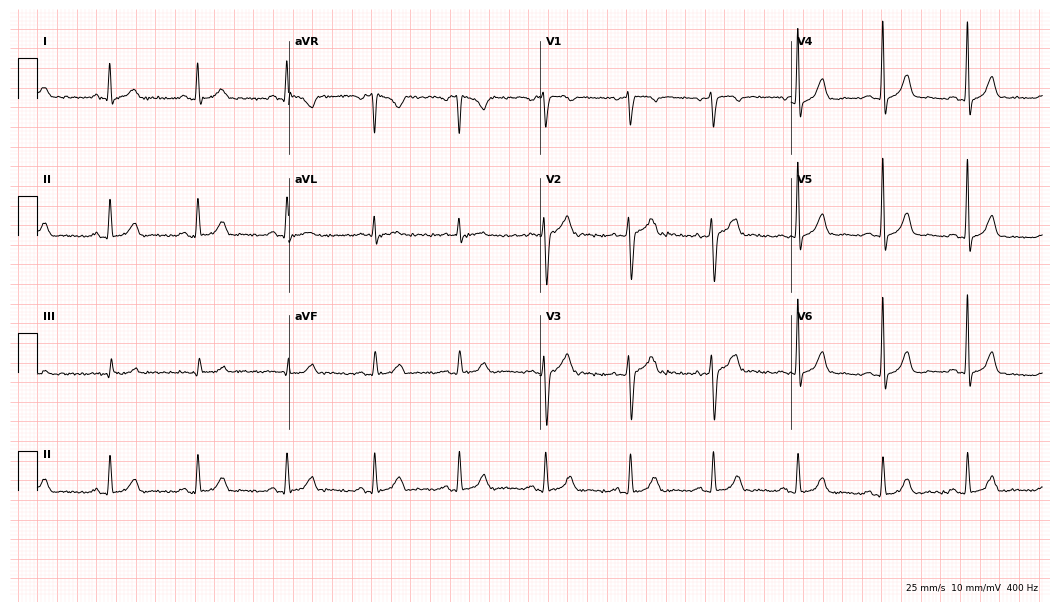
12-lead ECG from a 52-year-old male. Labelled as a normal ECG.